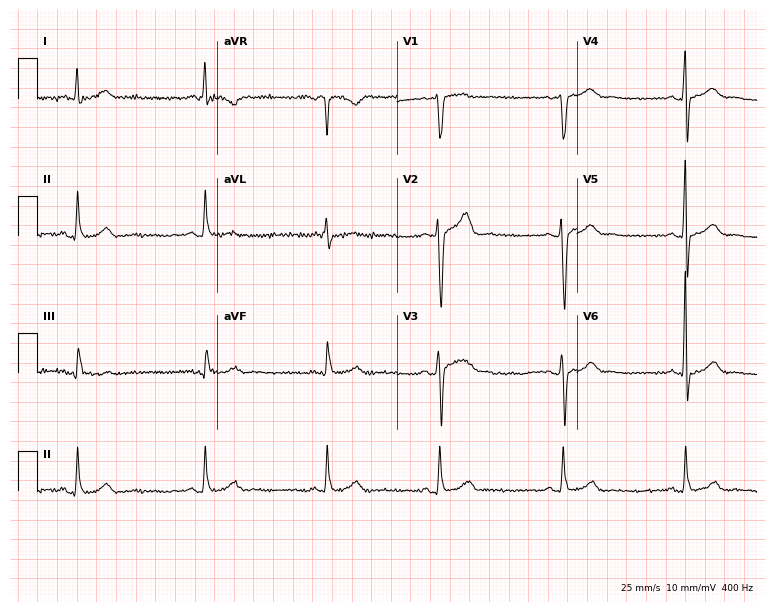
ECG — a 41-year-old male. Findings include sinus bradycardia (a sinus rate of 50 beats per minute or less).